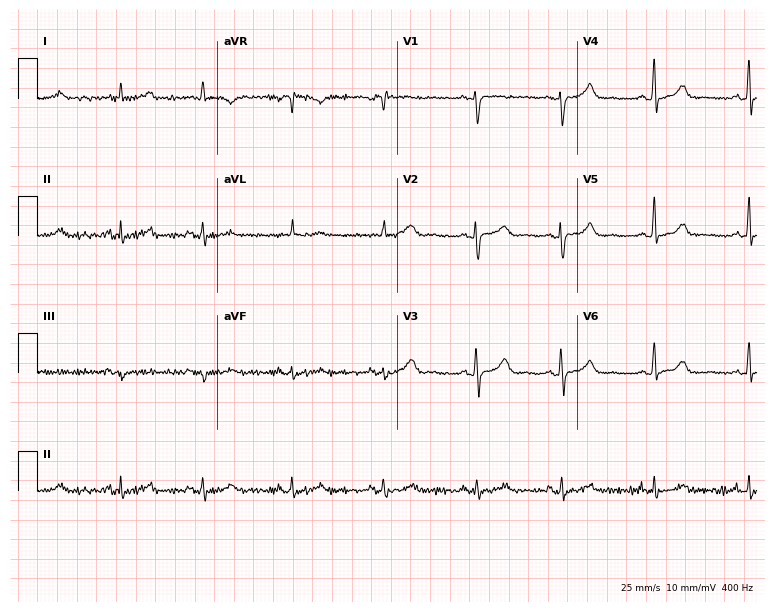
Electrocardiogram, a female, 49 years old. Of the six screened findings (first-degree AV block, right bundle branch block (RBBB), left bundle branch block (LBBB), sinus bradycardia, atrial fibrillation (AF), sinus tachycardia), none is recorded.